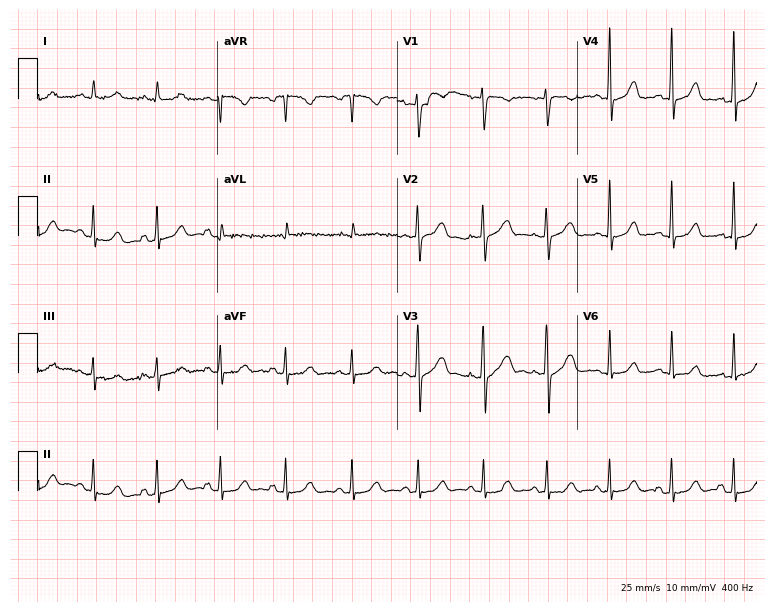
Resting 12-lead electrocardiogram (7.3-second recording at 400 Hz). Patient: a female, 31 years old. None of these six findings is recorded: first-degree AV block, right bundle branch block, left bundle branch block, sinus bradycardia, atrial fibrillation, sinus tachycardia.